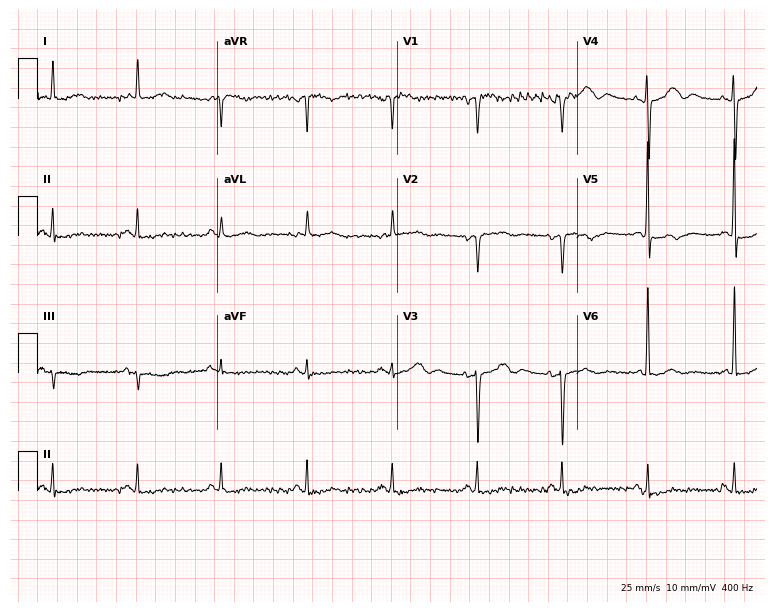
Electrocardiogram, a 79-year-old female. Of the six screened findings (first-degree AV block, right bundle branch block, left bundle branch block, sinus bradycardia, atrial fibrillation, sinus tachycardia), none is recorded. Findings outside these six are not listed.